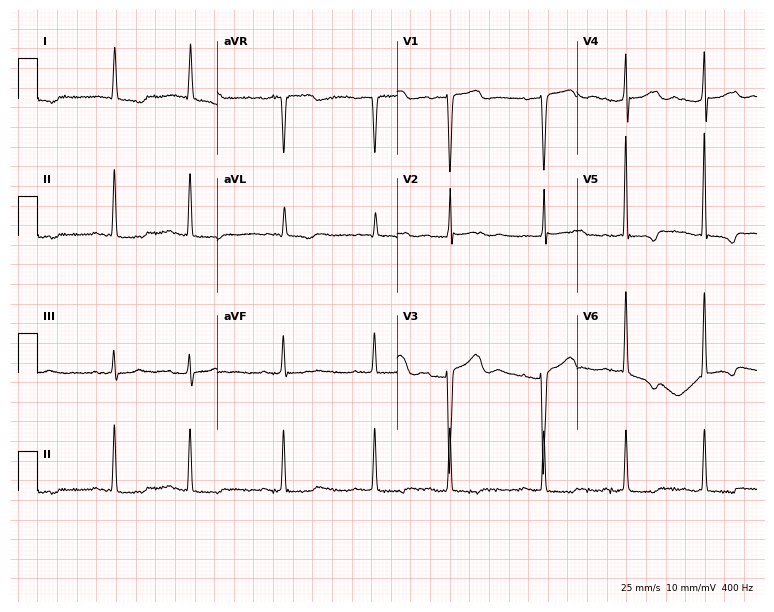
12-lead ECG (7.3-second recording at 400 Hz) from a woman, 82 years old. Screened for six findings — first-degree AV block, right bundle branch block, left bundle branch block, sinus bradycardia, atrial fibrillation, sinus tachycardia — none is recorded. Other findings, if any, are not listed.